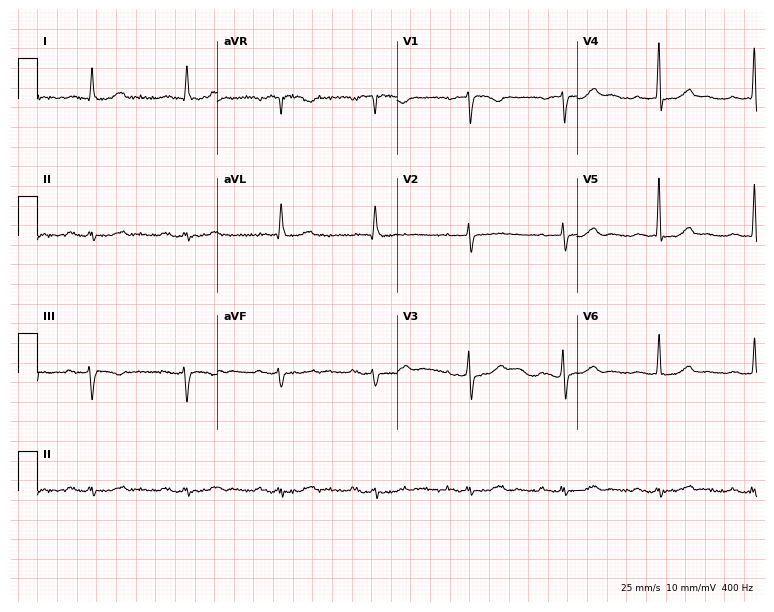
12-lead ECG from a male, 72 years old. Findings include first-degree AV block.